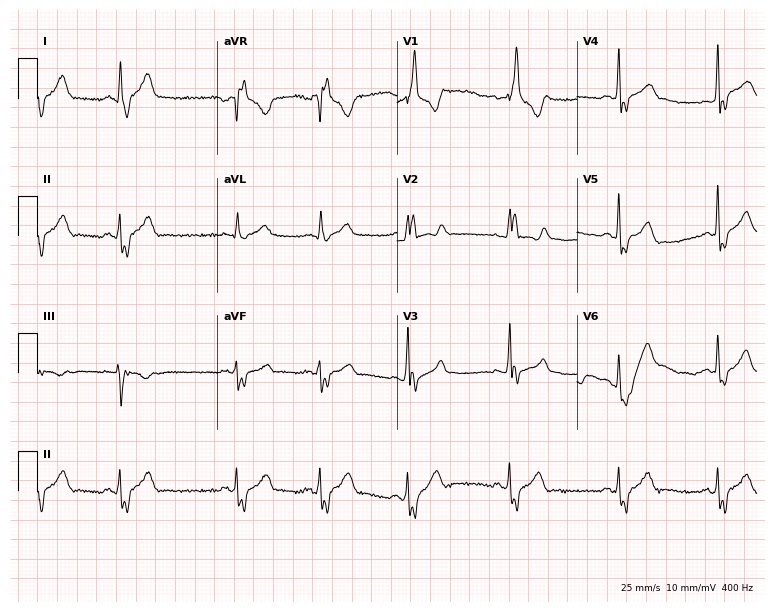
12-lead ECG from a 40-year-old man. Findings include right bundle branch block.